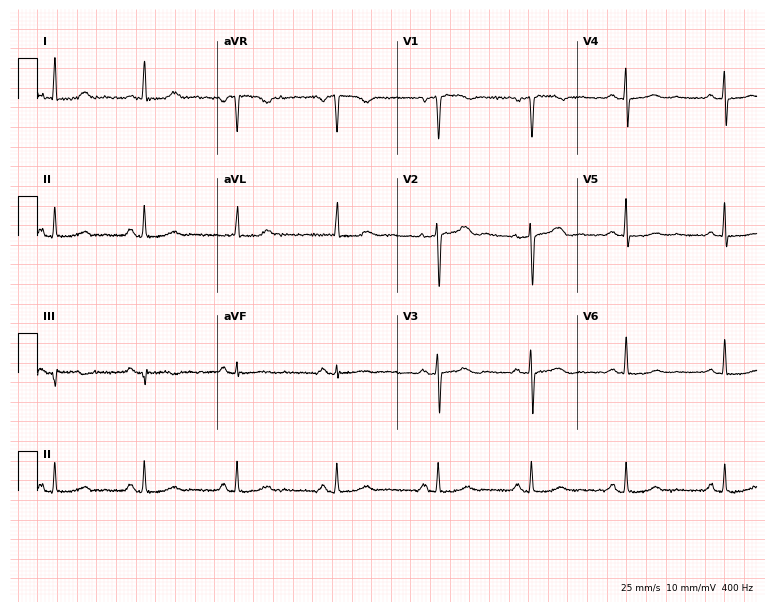
12-lead ECG (7.3-second recording at 400 Hz) from a female, 47 years old. Screened for six findings — first-degree AV block, right bundle branch block, left bundle branch block, sinus bradycardia, atrial fibrillation, sinus tachycardia — none is recorded. Other findings, if any, are not listed.